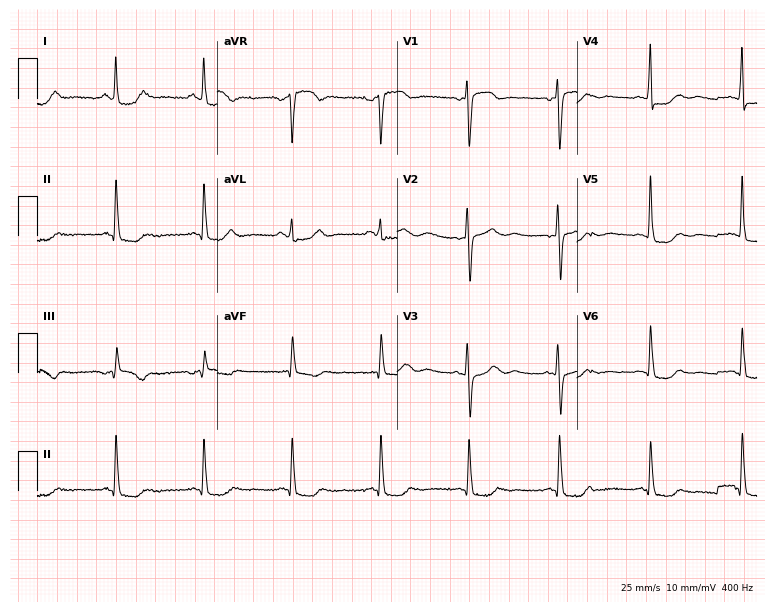
ECG — an 84-year-old woman. Screened for six findings — first-degree AV block, right bundle branch block, left bundle branch block, sinus bradycardia, atrial fibrillation, sinus tachycardia — none is recorded. Other findings, if any, are not listed.